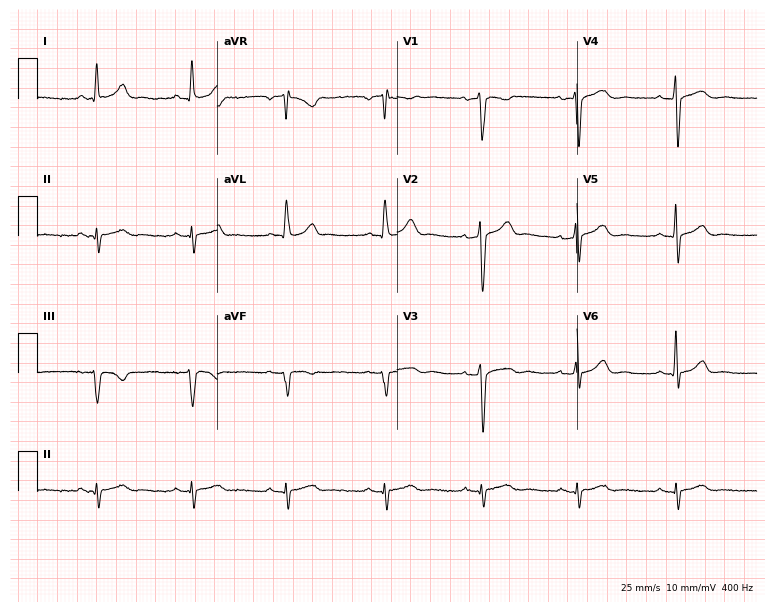
Electrocardiogram (7.3-second recording at 400 Hz), a male patient, 35 years old. Of the six screened findings (first-degree AV block, right bundle branch block (RBBB), left bundle branch block (LBBB), sinus bradycardia, atrial fibrillation (AF), sinus tachycardia), none is recorded.